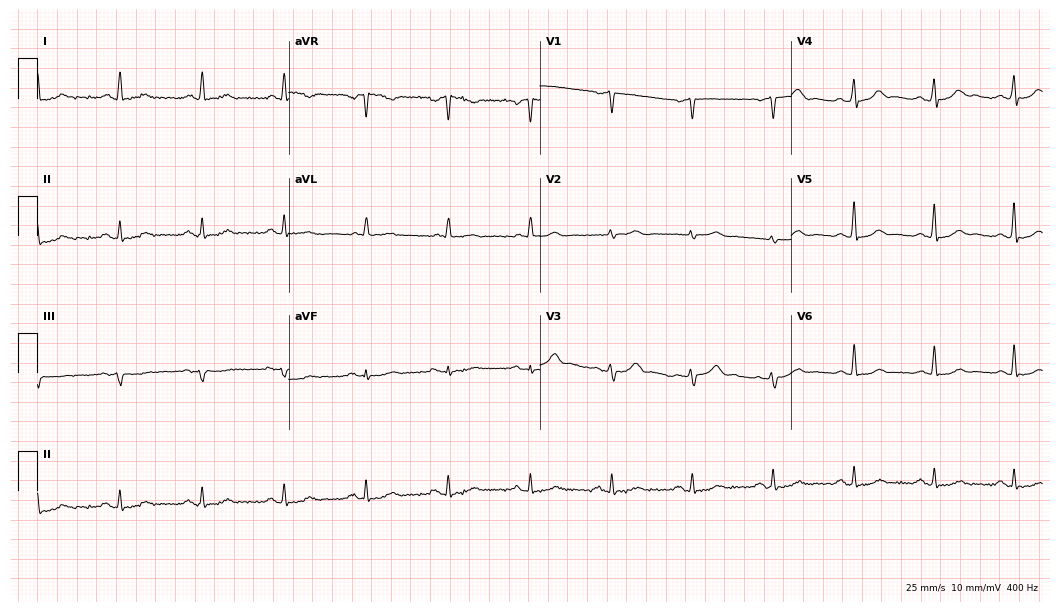
Resting 12-lead electrocardiogram (10.2-second recording at 400 Hz). Patient: a man, 73 years old. Read as a normal ECG.